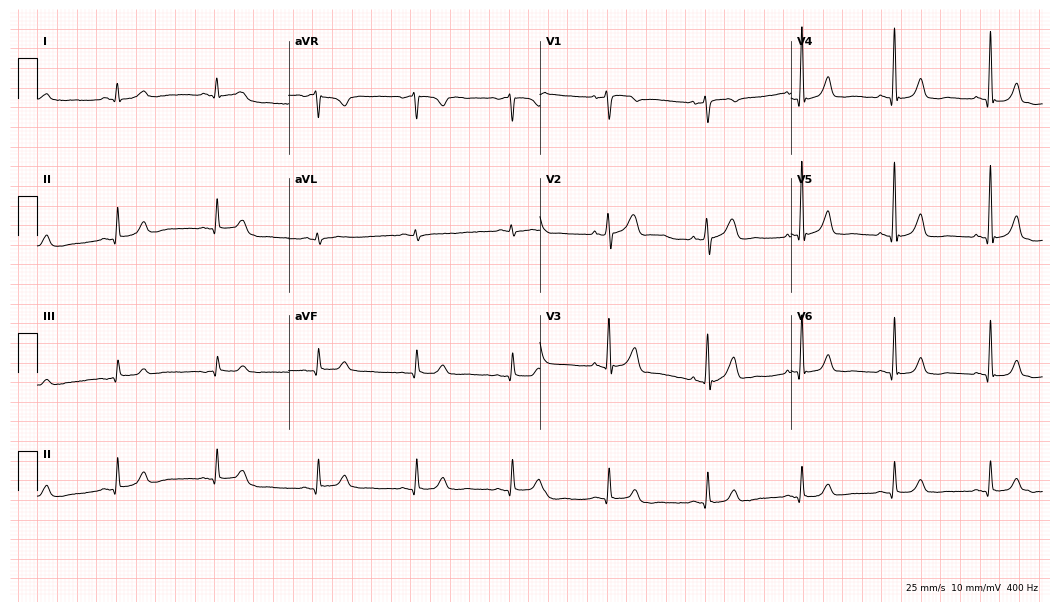
Standard 12-lead ECG recorded from a man, 58 years old (10.2-second recording at 400 Hz). Read as a normal ECG.